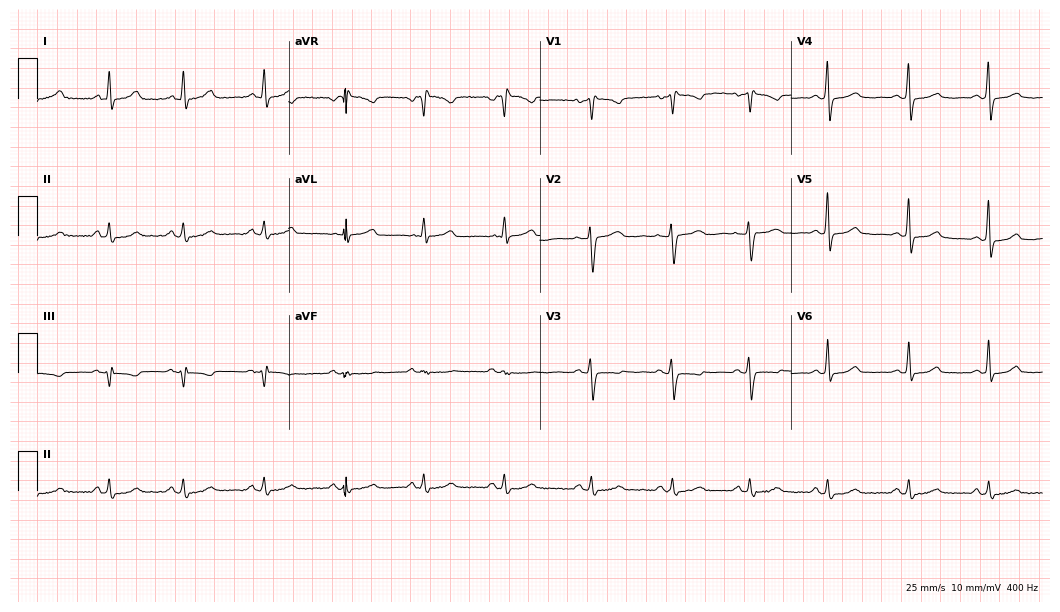
12-lead ECG from a 47-year-old female patient. Recorded interpretation: within normal limits.